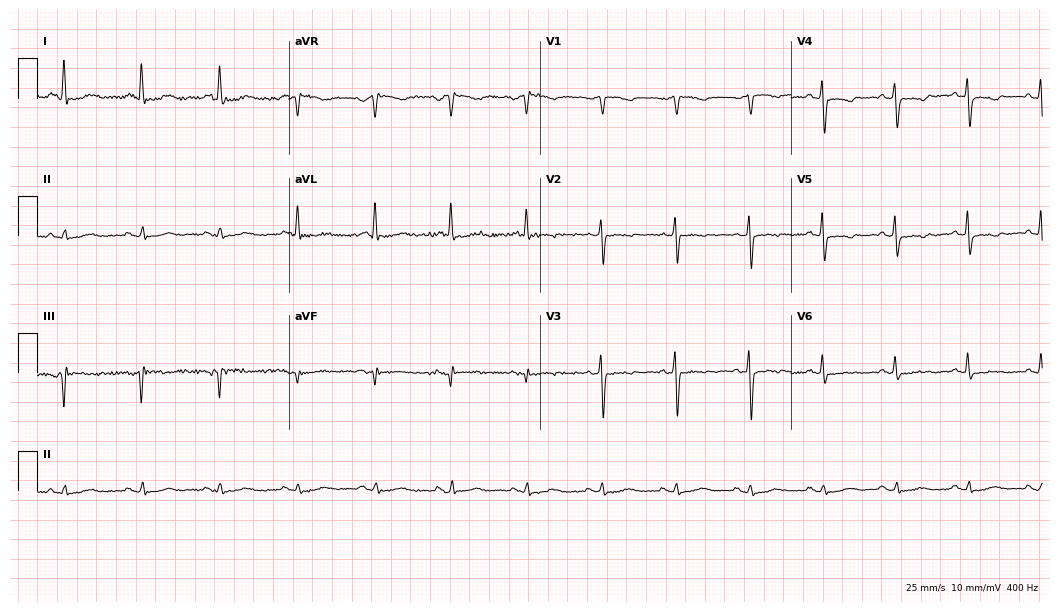
Standard 12-lead ECG recorded from a woman, 69 years old (10.2-second recording at 400 Hz). None of these six findings is recorded: first-degree AV block, right bundle branch block (RBBB), left bundle branch block (LBBB), sinus bradycardia, atrial fibrillation (AF), sinus tachycardia.